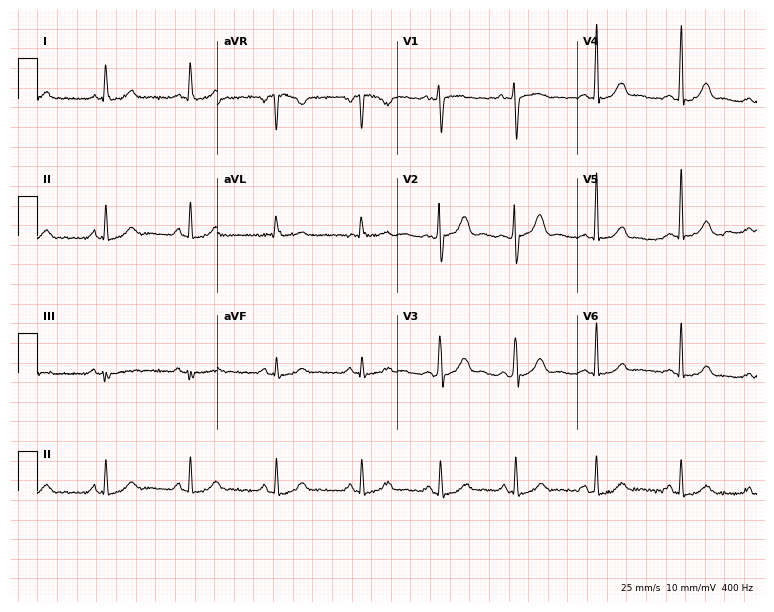
Electrocardiogram, a female, 21 years old. Overall reading on record: normal ECG.